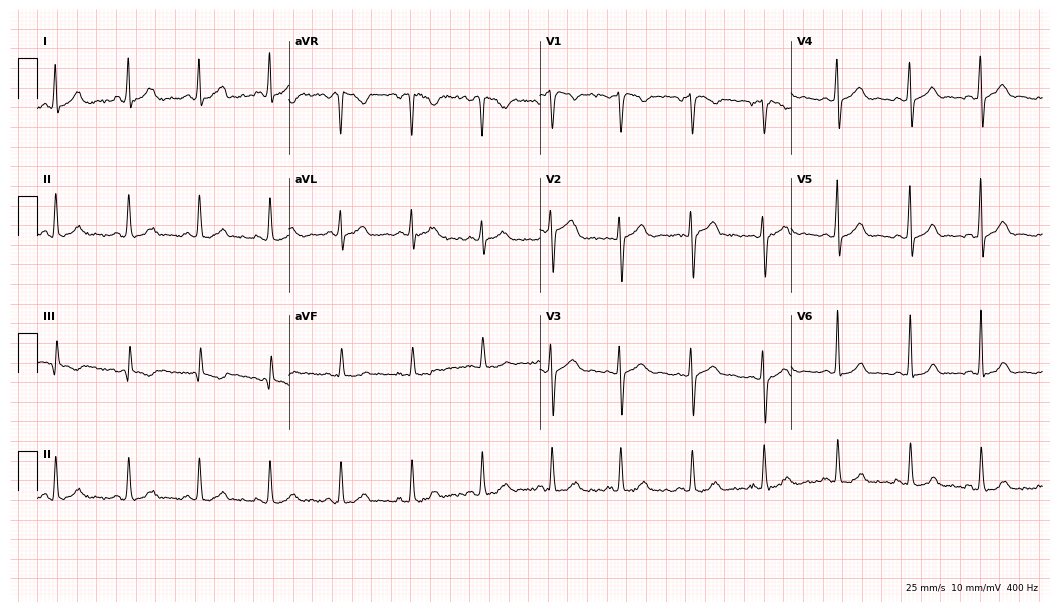
Standard 12-lead ECG recorded from a 36-year-old female. Read as a normal ECG.